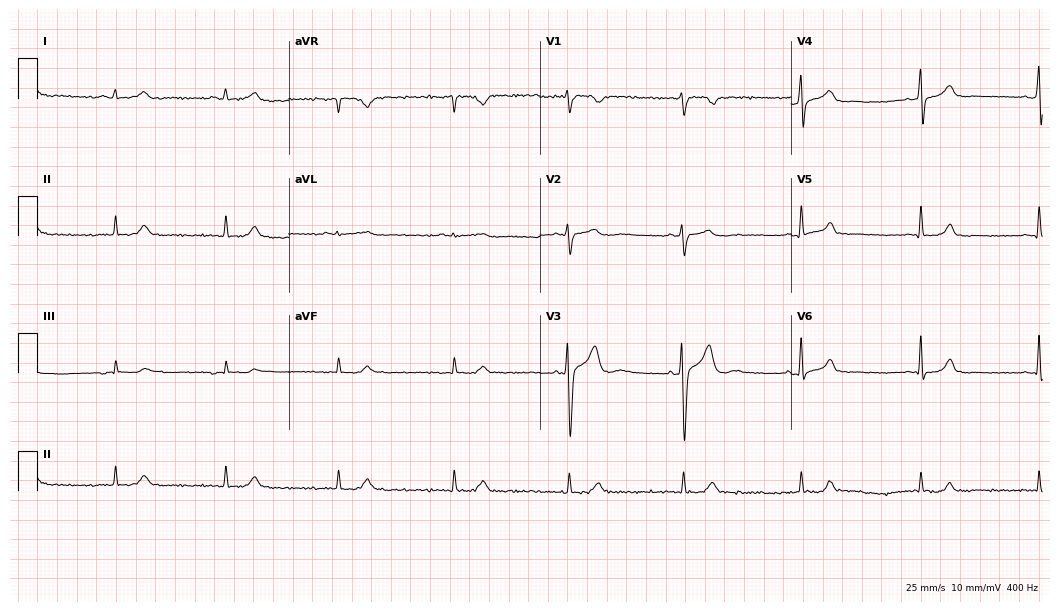
ECG (10.2-second recording at 400 Hz) — a 47-year-old male patient. Labelled as a normal ECG.